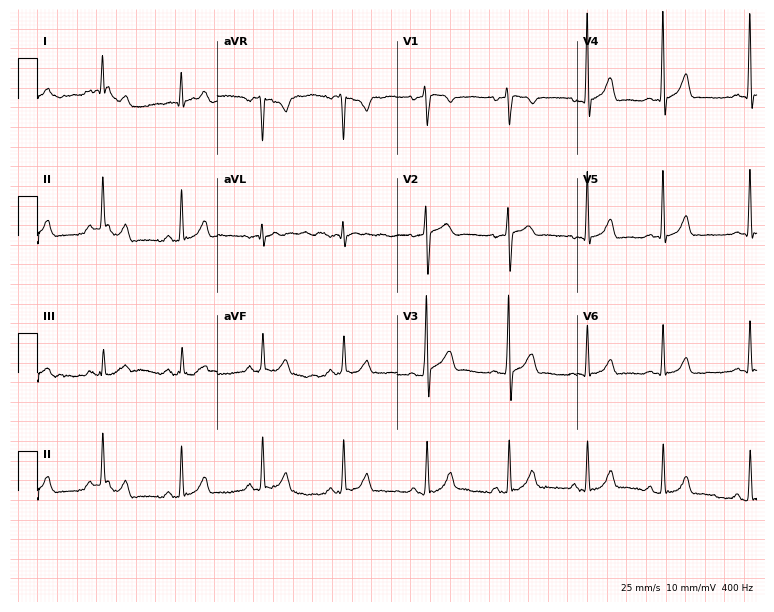
ECG (7.3-second recording at 400 Hz) — a man, 38 years old. Labelled as a normal ECG.